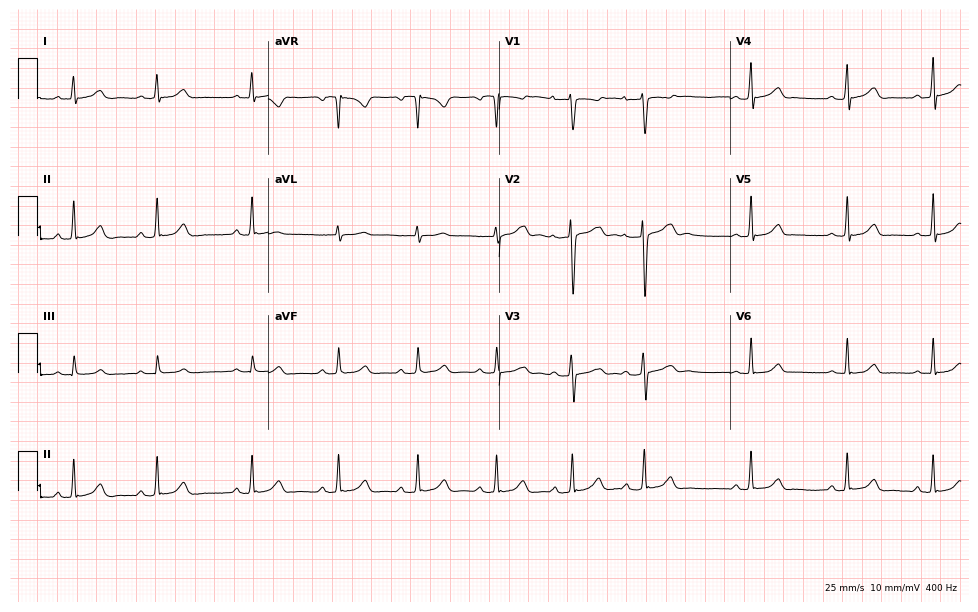
Resting 12-lead electrocardiogram. Patient: a woman, 17 years old. Read as a normal ECG.